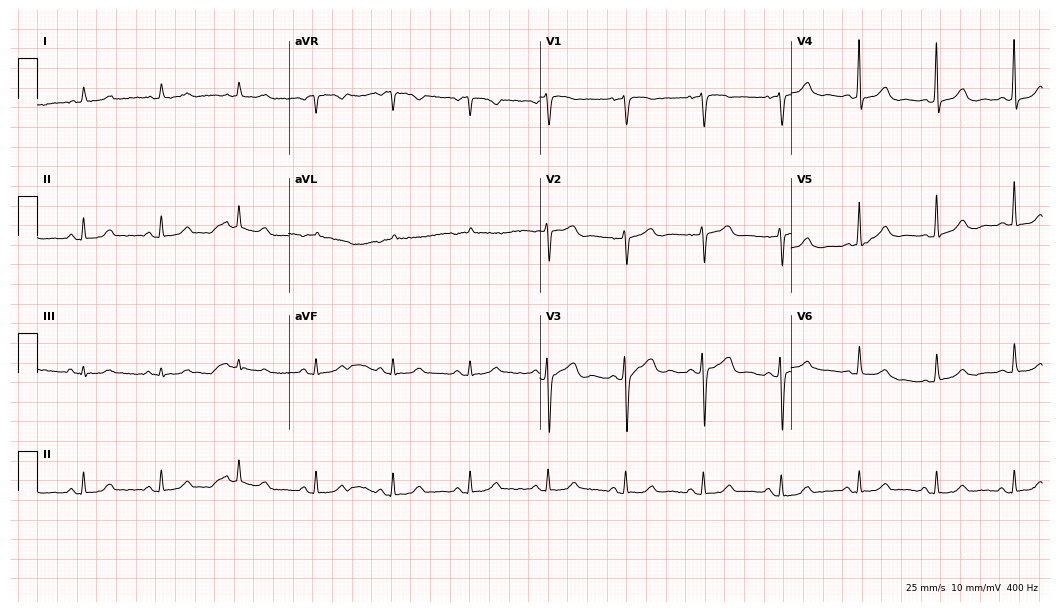
12-lead ECG from an 85-year-old female. Labelled as a normal ECG.